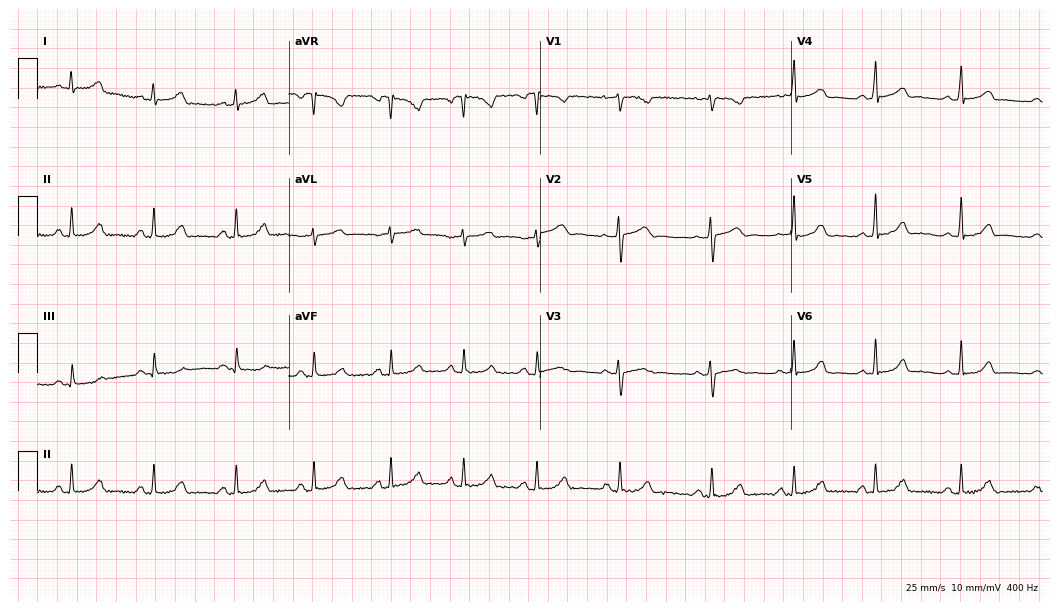
12-lead ECG (10.2-second recording at 400 Hz) from a female, 33 years old. Labelled as a normal ECG.